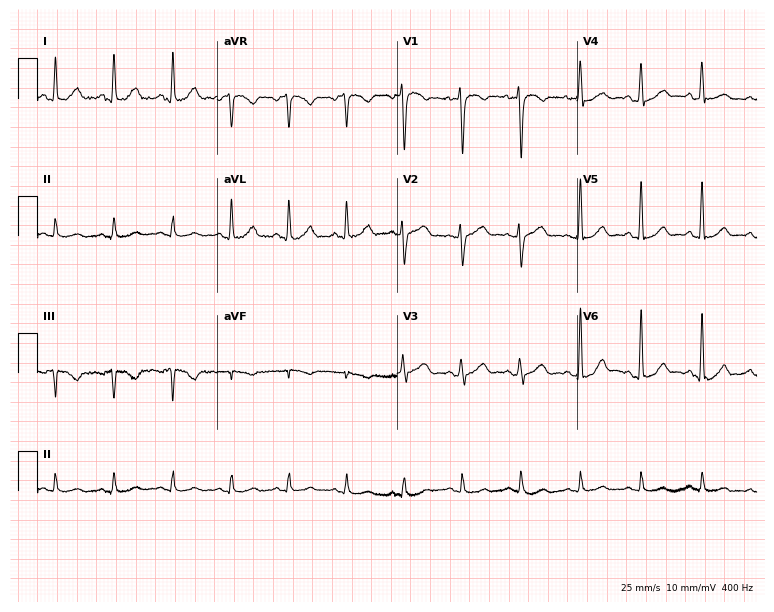
12-lead ECG (7.3-second recording at 400 Hz) from a female, 55 years old. Labelled as a normal ECG.